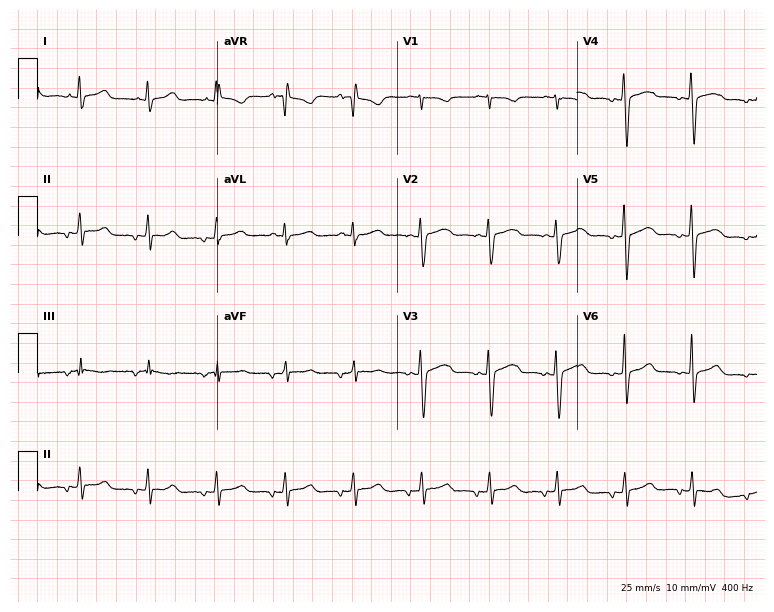
ECG (7.3-second recording at 400 Hz) — a female, 27 years old. Labelled as a normal ECG.